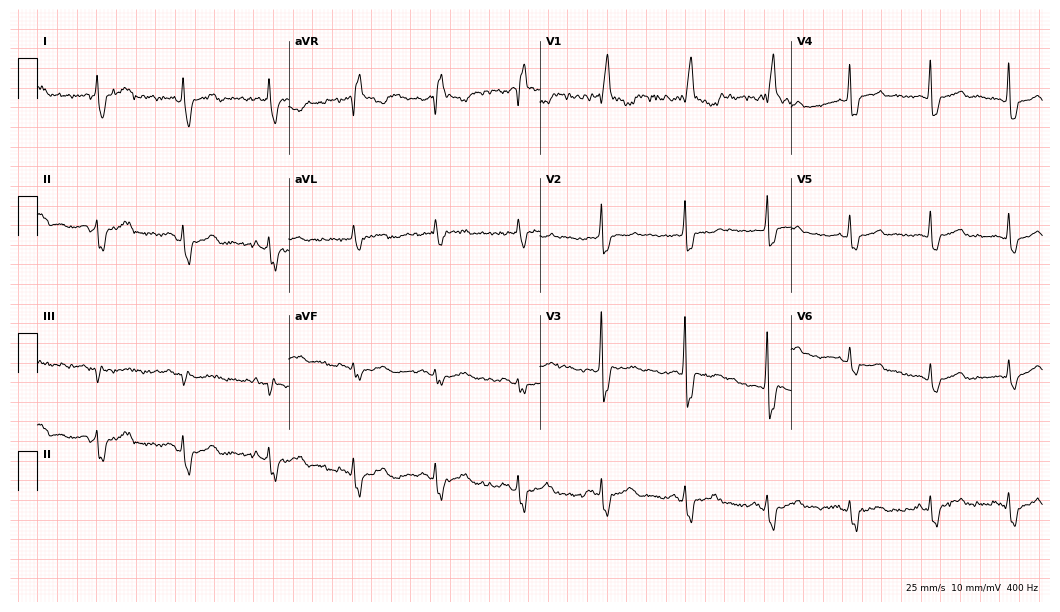
Standard 12-lead ECG recorded from a man, 62 years old (10.2-second recording at 400 Hz). The tracing shows right bundle branch block.